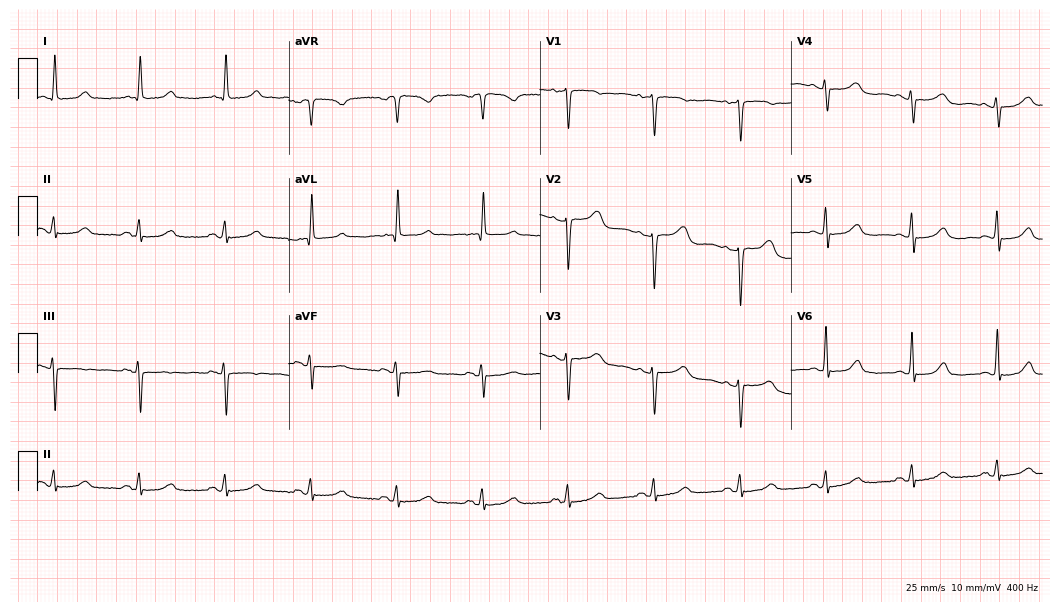
Standard 12-lead ECG recorded from a female patient, 60 years old. Read as a normal ECG.